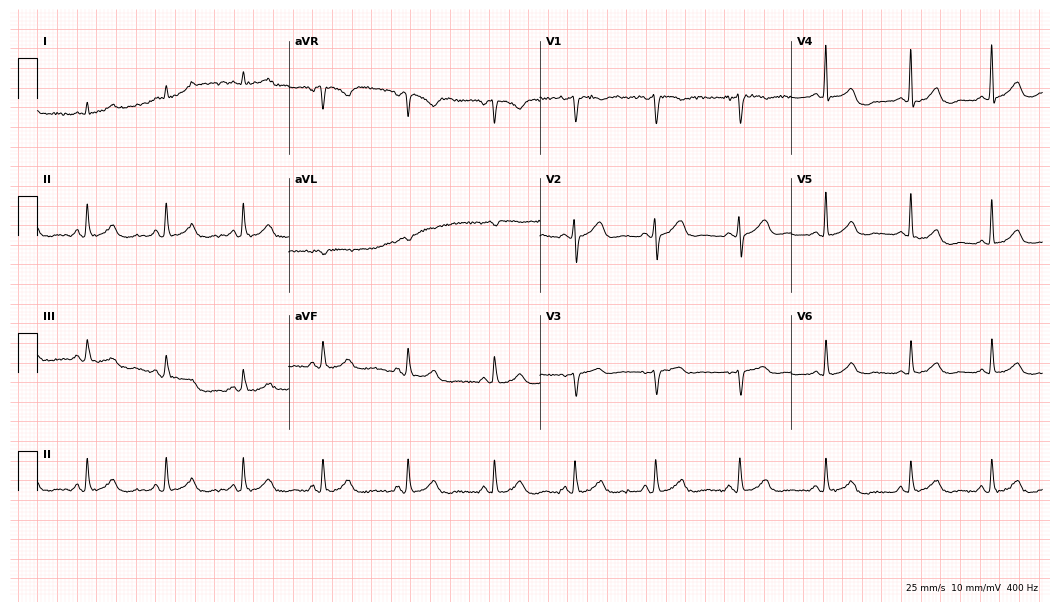
Electrocardiogram, a female, 43 years old. Overall reading on record: normal ECG.